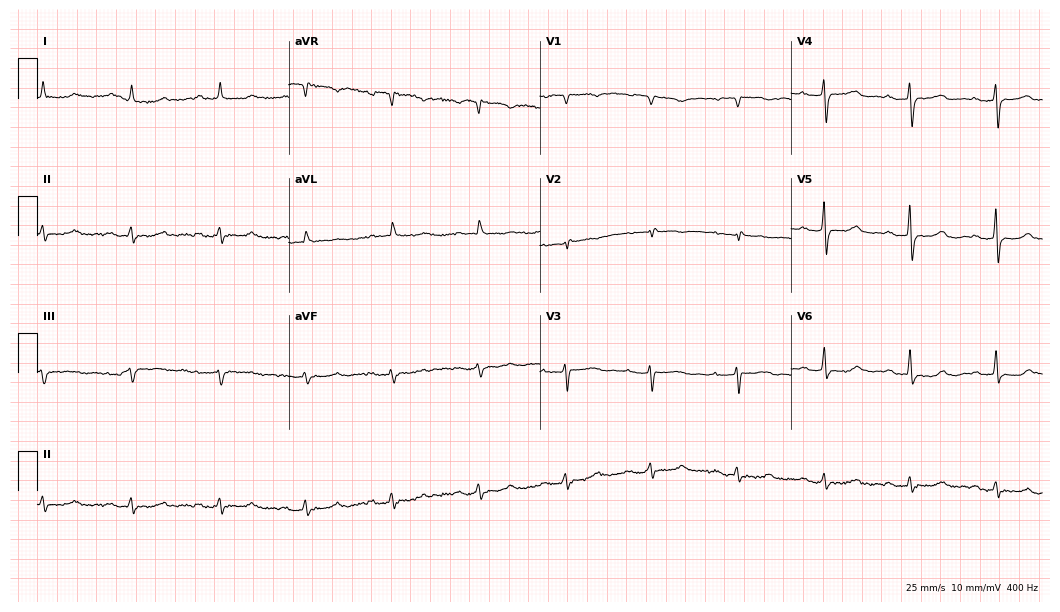
Standard 12-lead ECG recorded from a 69-year-old female patient (10.2-second recording at 400 Hz). None of these six findings is recorded: first-degree AV block, right bundle branch block (RBBB), left bundle branch block (LBBB), sinus bradycardia, atrial fibrillation (AF), sinus tachycardia.